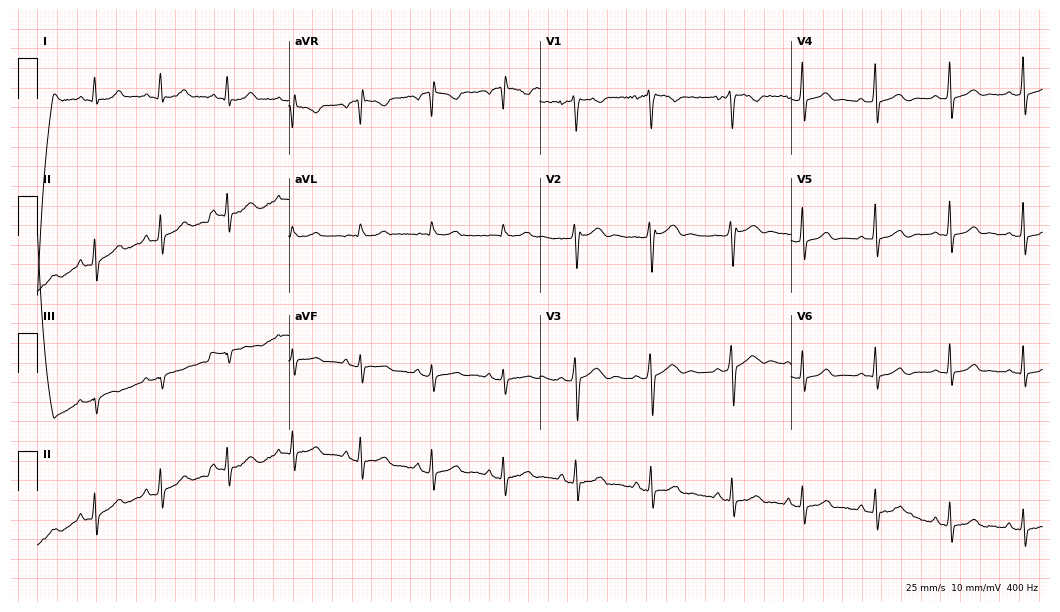
12-lead ECG from a female patient, 24 years old. Labelled as a normal ECG.